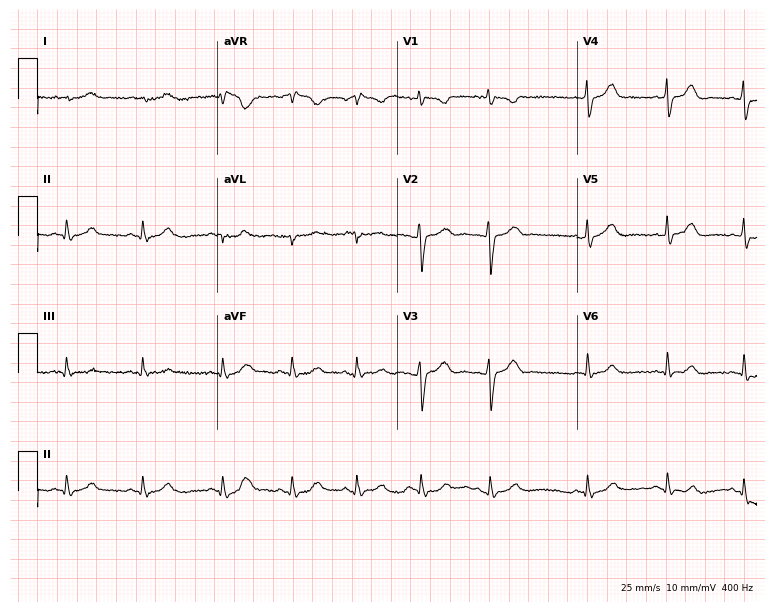
Standard 12-lead ECG recorded from a 19-year-old female (7.3-second recording at 400 Hz). None of these six findings is recorded: first-degree AV block, right bundle branch block (RBBB), left bundle branch block (LBBB), sinus bradycardia, atrial fibrillation (AF), sinus tachycardia. Only these six findings were labelled.